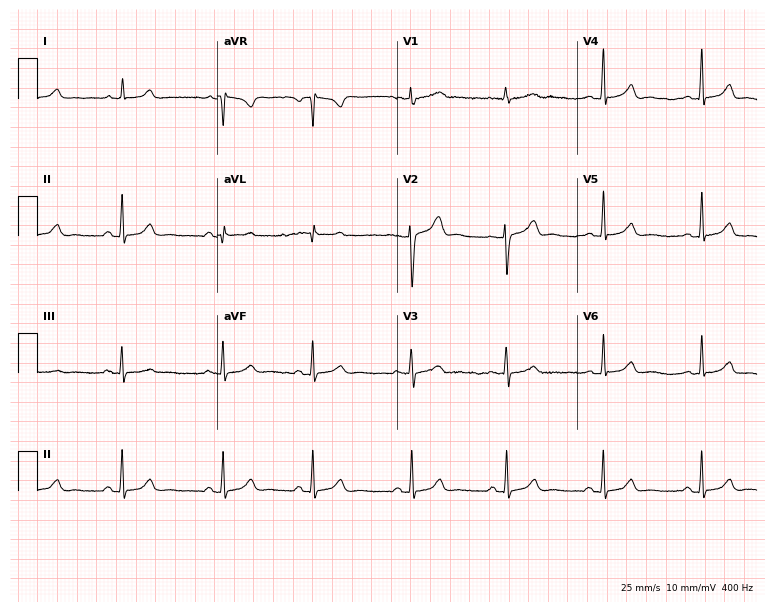
Resting 12-lead electrocardiogram. Patient: a 22-year-old female. Read as a normal ECG.